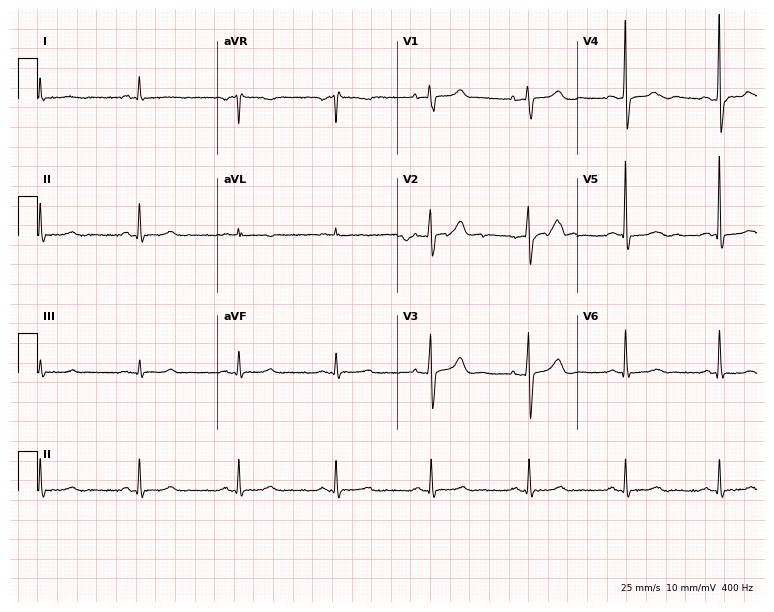
12-lead ECG from a 75-year-old female. No first-degree AV block, right bundle branch block, left bundle branch block, sinus bradycardia, atrial fibrillation or sinus tachycardia recorded for this tracing.